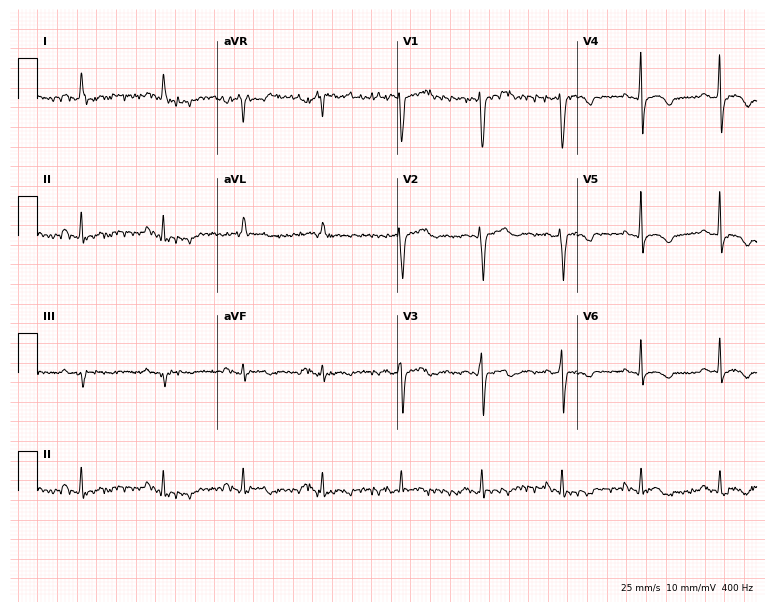
12-lead ECG from a female patient, 76 years old (7.3-second recording at 400 Hz). No first-degree AV block, right bundle branch block (RBBB), left bundle branch block (LBBB), sinus bradycardia, atrial fibrillation (AF) or sinus tachycardia recorded for this tracing.